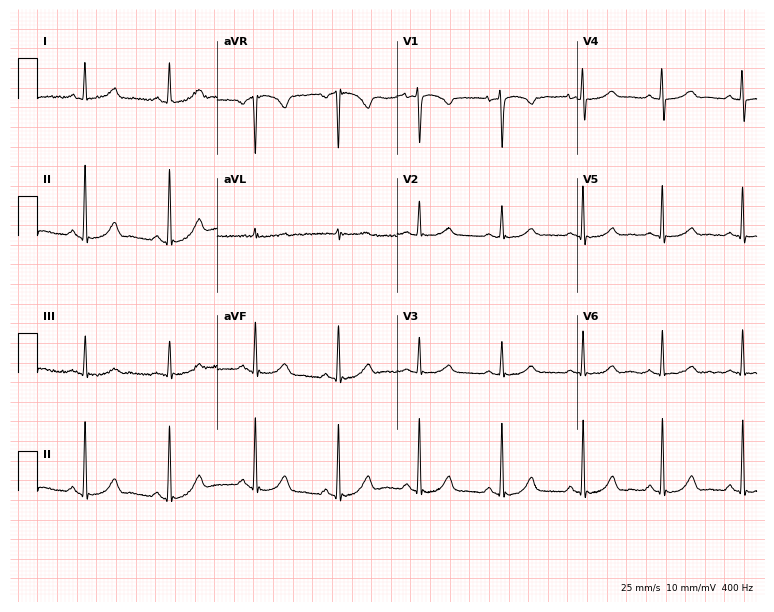
12-lead ECG from a 41-year-old woman. Labelled as a normal ECG.